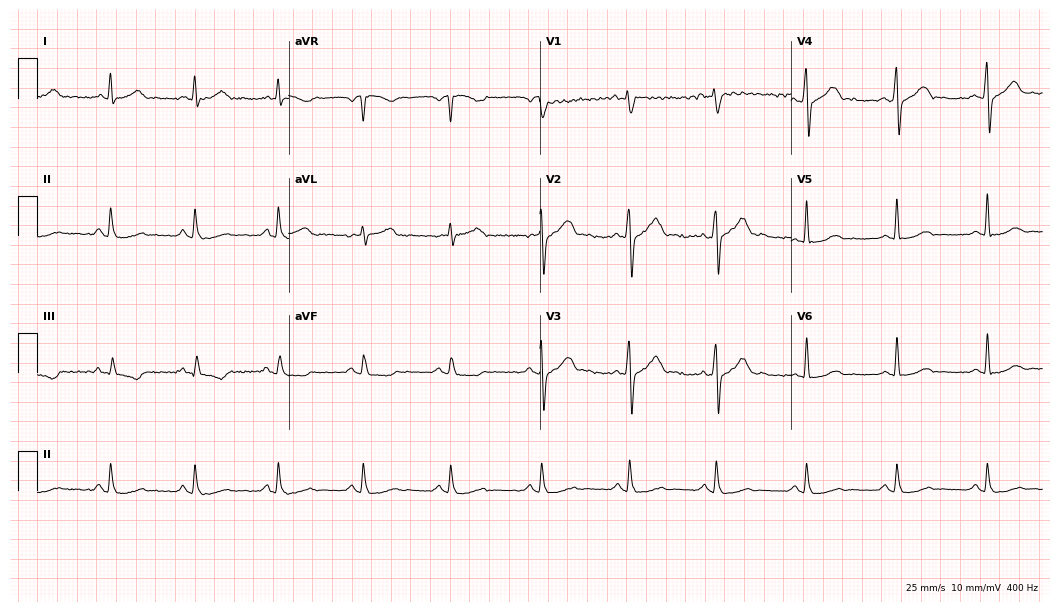
Standard 12-lead ECG recorded from a male, 41 years old. None of these six findings is recorded: first-degree AV block, right bundle branch block (RBBB), left bundle branch block (LBBB), sinus bradycardia, atrial fibrillation (AF), sinus tachycardia. Findings outside these six are not listed.